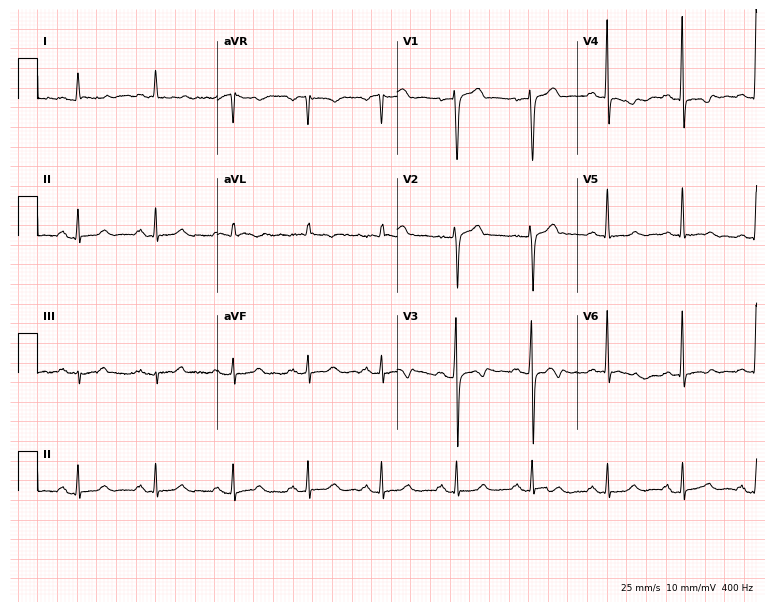
ECG — a woman, 60 years old. Screened for six findings — first-degree AV block, right bundle branch block, left bundle branch block, sinus bradycardia, atrial fibrillation, sinus tachycardia — none is recorded.